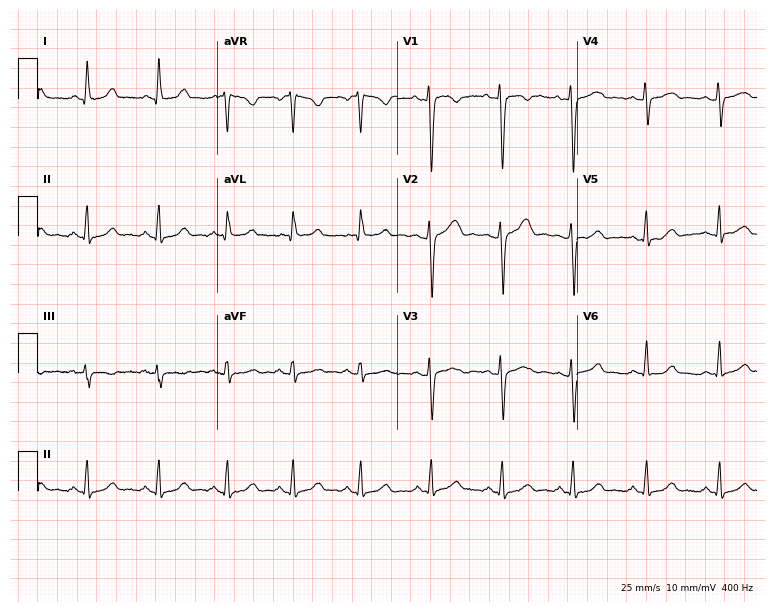
Electrocardiogram (7.3-second recording at 400 Hz), a male, 38 years old. Overall reading on record: normal ECG.